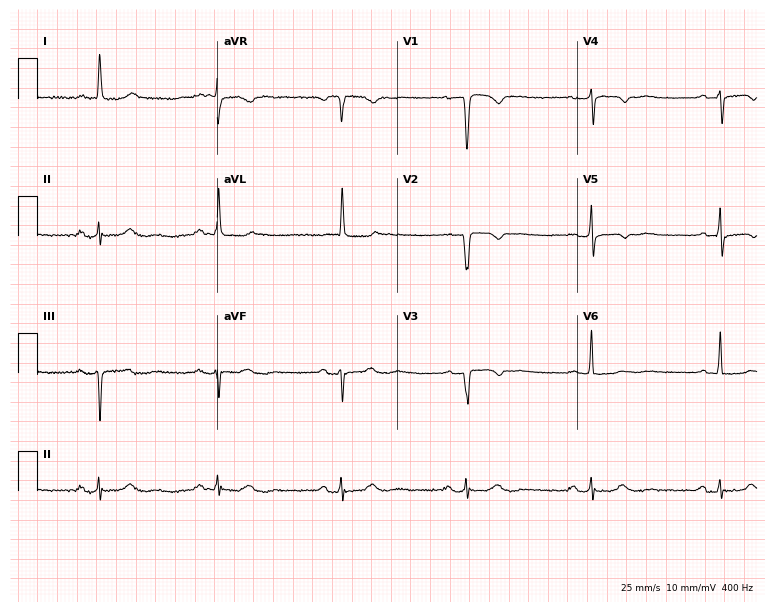
Resting 12-lead electrocardiogram (7.3-second recording at 400 Hz). Patient: a 77-year-old female. None of these six findings is recorded: first-degree AV block, right bundle branch block (RBBB), left bundle branch block (LBBB), sinus bradycardia, atrial fibrillation (AF), sinus tachycardia. Only these six findings were labelled.